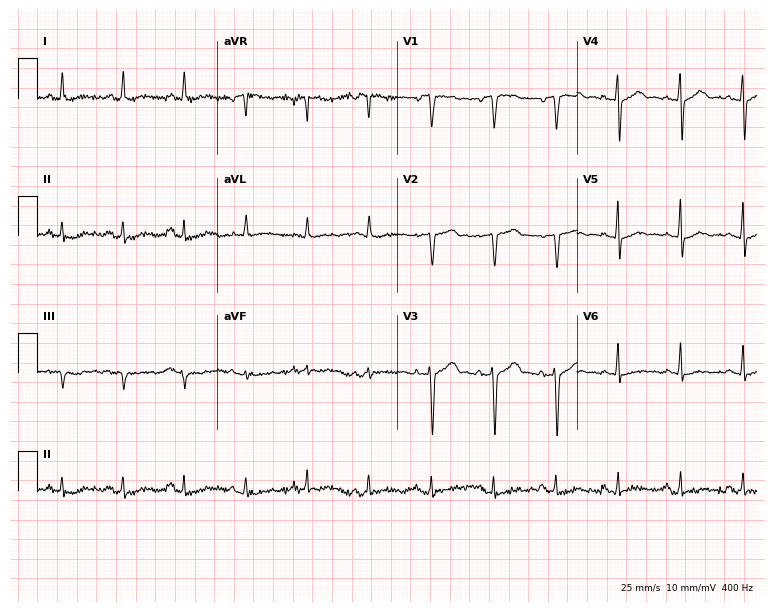
Electrocardiogram, a female patient, 63 years old. Of the six screened findings (first-degree AV block, right bundle branch block, left bundle branch block, sinus bradycardia, atrial fibrillation, sinus tachycardia), none is recorded. Only these six findings were labelled.